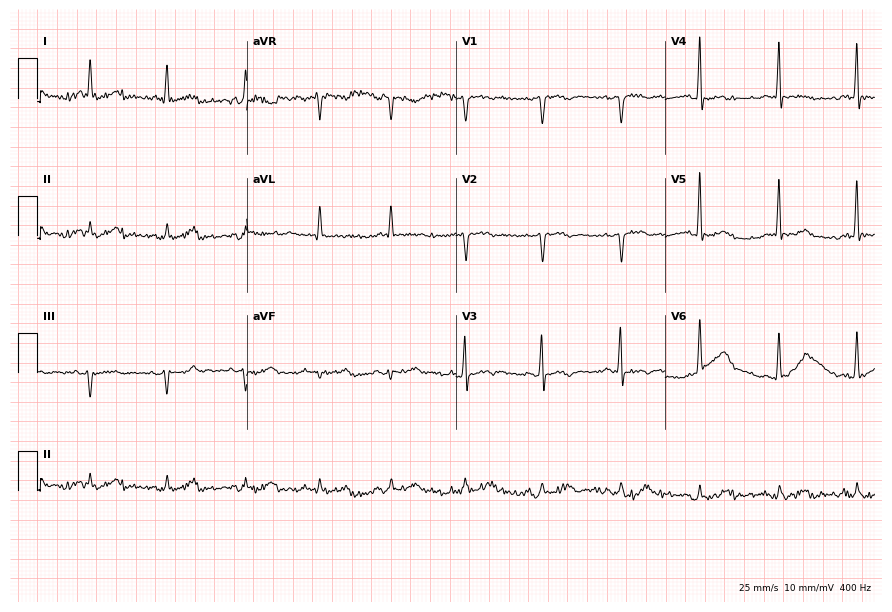
Electrocardiogram (8.5-second recording at 400 Hz), a male patient, 80 years old. Overall reading on record: normal ECG.